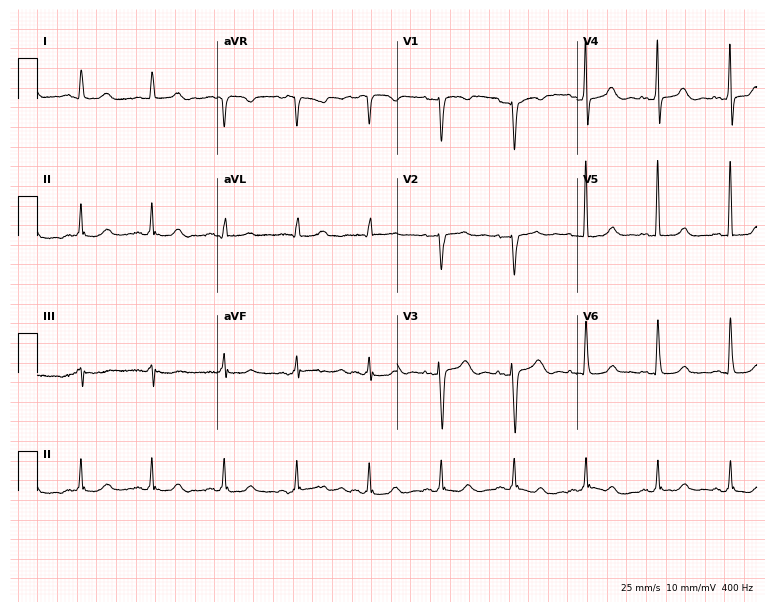
Resting 12-lead electrocardiogram (7.3-second recording at 400 Hz). Patient: a 42-year-old female. Read as a normal ECG.